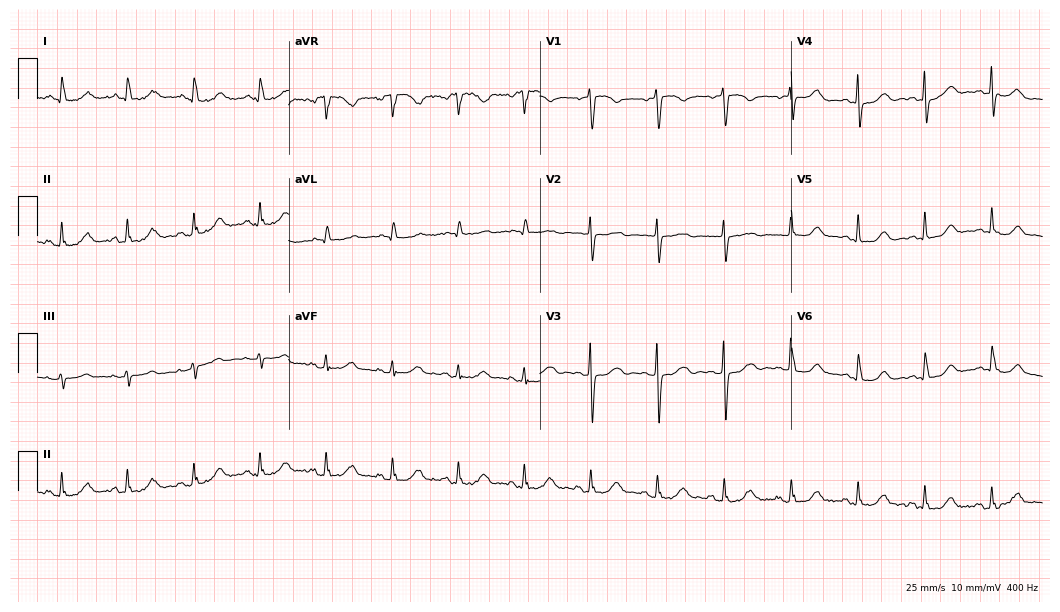
ECG — a female, 73 years old. Labelled as a normal ECG.